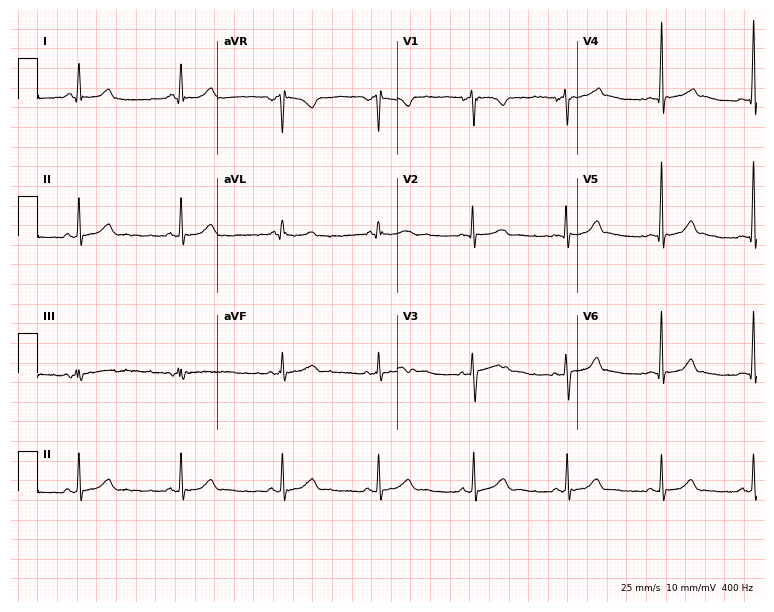
Standard 12-lead ECG recorded from a 27-year-old female patient (7.3-second recording at 400 Hz). None of these six findings is recorded: first-degree AV block, right bundle branch block, left bundle branch block, sinus bradycardia, atrial fibrillation, sinus tachycardia. Findings outside these six are not listed.